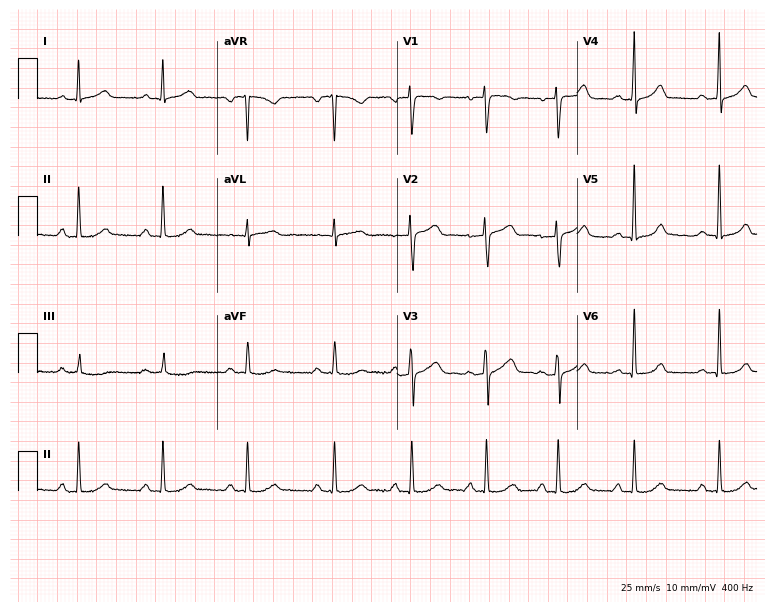
Standard 12-lead ECG recorded from a 47-year-old female patient (7.3-second recording at 400 Hz). Read as a normal ECG.